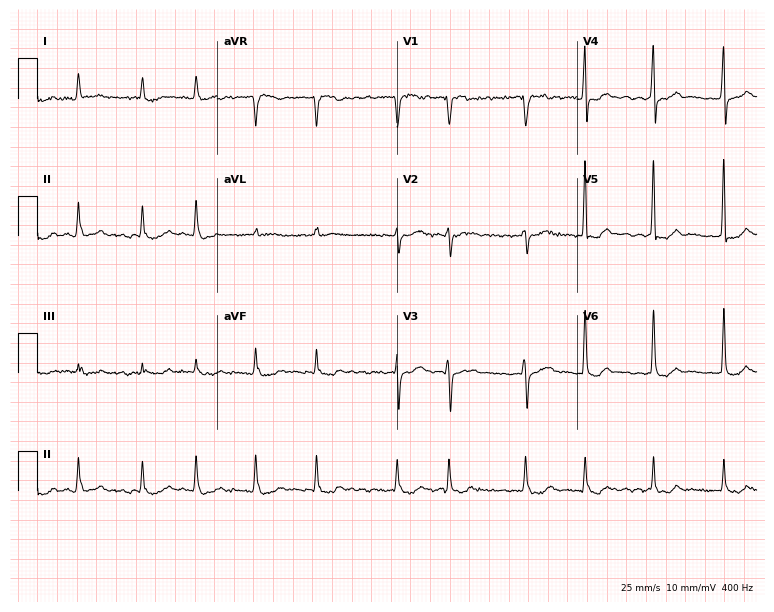
12-lead ECG (7.3-second recording at 400 Hz) from a man, 65 years old. Findings include atrial fibrillation.